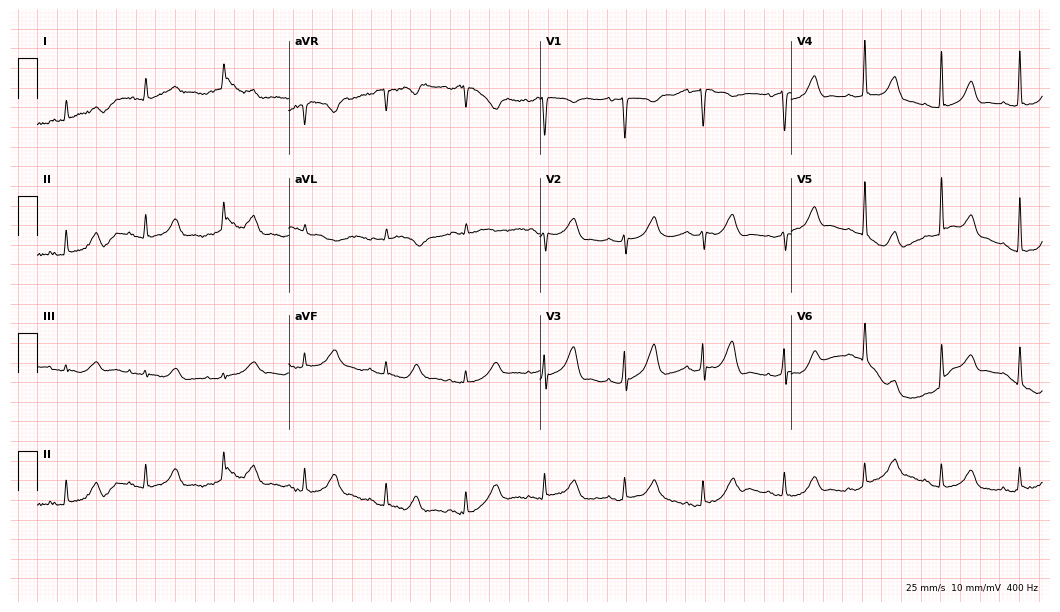
12-lead ECG from a female patient, 84 years old. Screened for six findings — first-degree AV block, right bundle branch block, left bundle branch block, sinus bradycardia, atrial fibrillation, sinus tachycardia — none is recorded.